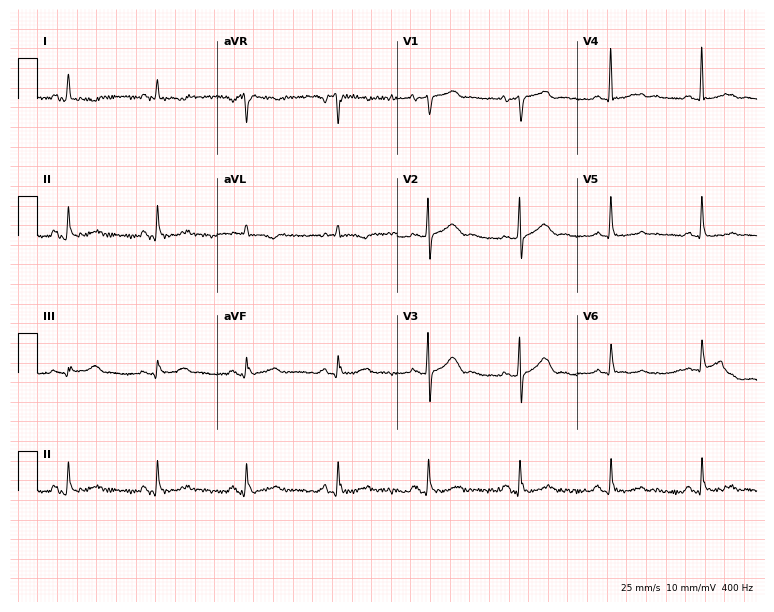
Standard 12-lead ECG recorded from an 82-year-old female patient. None of these six findings is recorded: first-degree AV block, right bundle branch block (RBBB), left bundle branch block (LBBB), sinus bradycardia, atrial fibrillation (AF), sinus tachycardia. Only these six findings were labelled.